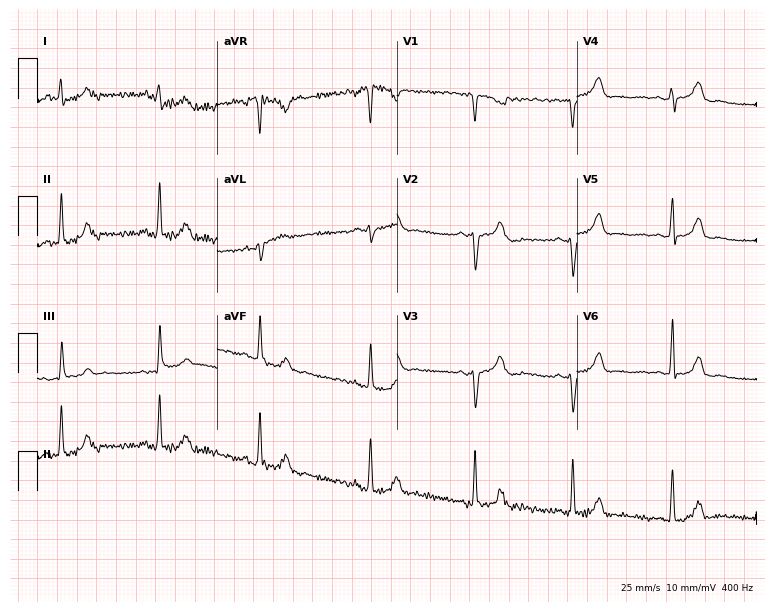
ECG (7.3-second recording at 400 Hz) — a female patient, 37 years old. Screened for six findings — first-degree AV block, right bundle branch block, left bundle branch block, sinus bradycardia, atrial fibrillation, sinus tachycardia — none is recorded. Findings outside these six are not listed.